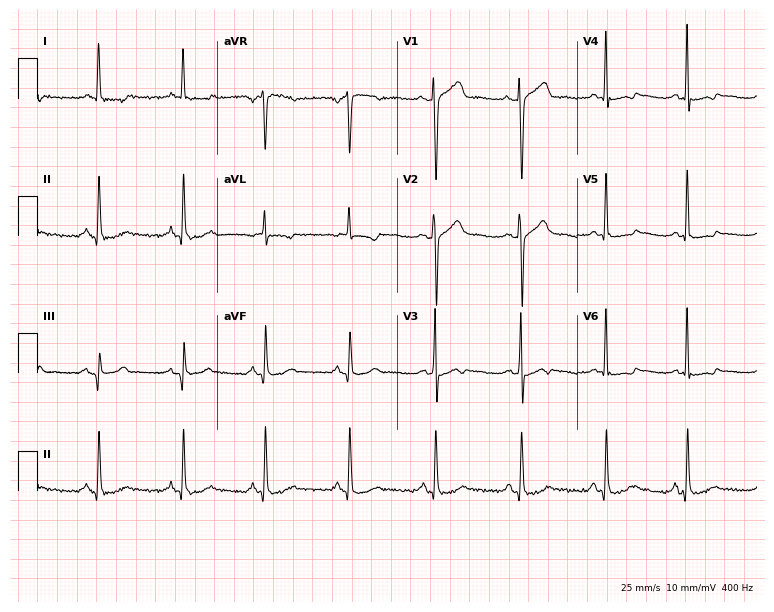
Electrocardiogram, a female patient, 52 years old. Of the six screened findings (first-degree AV block, right bundle branch block (RBBB), left bundle branch block (LBBB), sinus bradycardia, atrial fibrillation (AF), sinus tachycardia), none is recorded. Only these six findings were labelled.